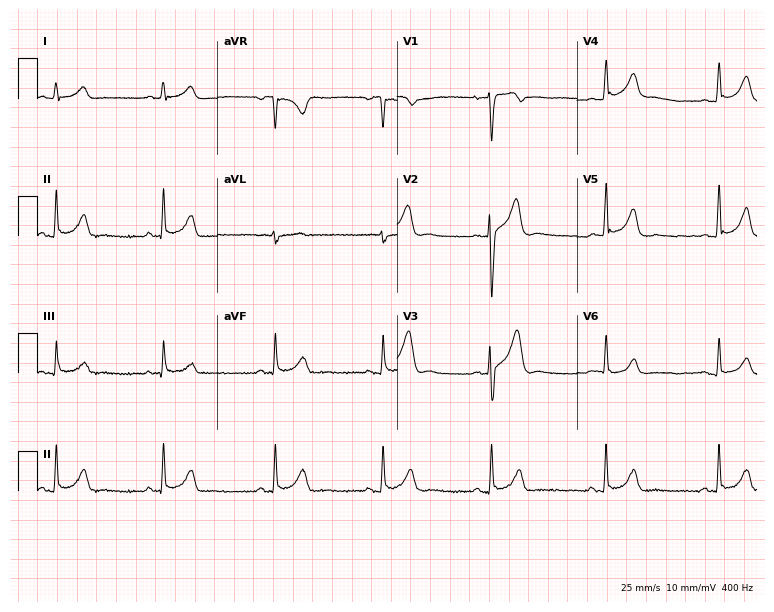
12-lead ECG from a male patient, 30 years old (7.3-second recording at 400 Hz). Recorded interpretation: within normal limits.